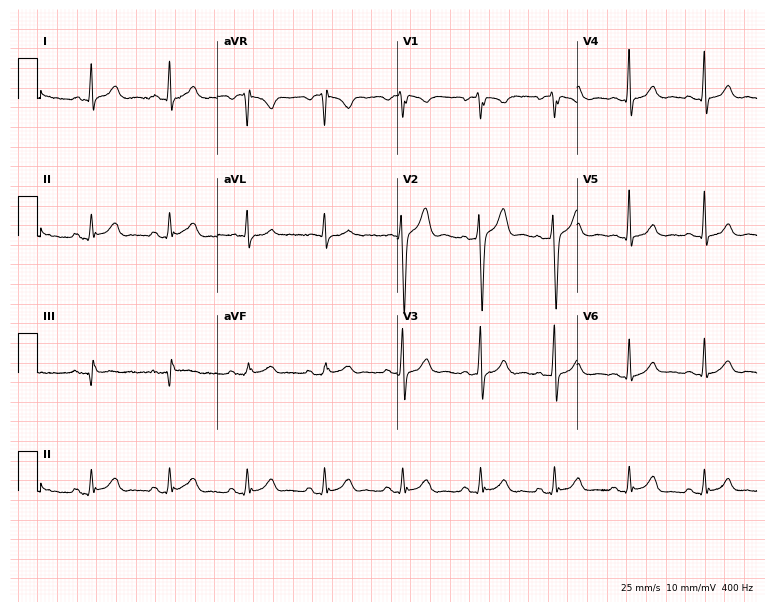
Electrocardiogram (7.3-second recording at 400 Hz), a 37-year-old man. Overall reading on record: normal ECG.